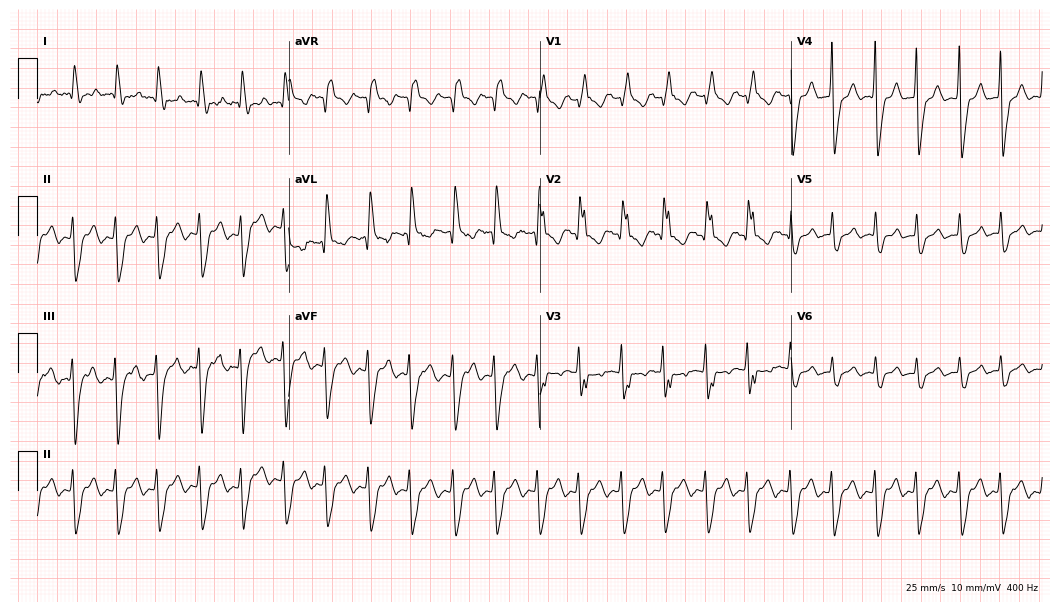
ECG — a man, 85 years old. Screened for six findings — first-degree AV block, right bundle branch block (RBBB), left bundle branch block (LBBB), sinus bradycardia, atrial fibrillation (AF), sinus tachycardia — none is recorded. Other findings, if any, are not listed.